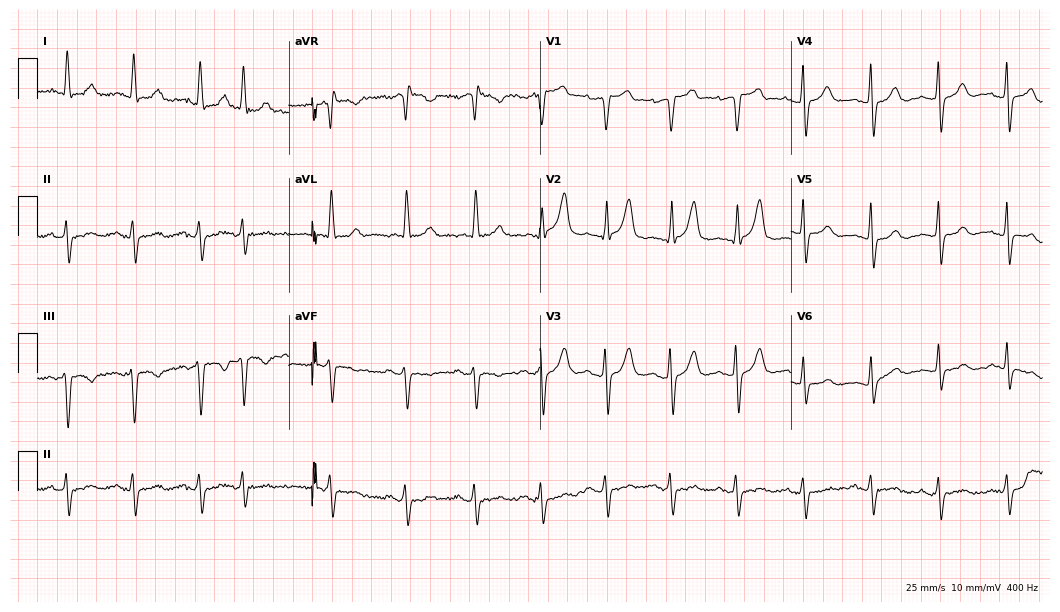
Electrocardiogram (10.2-second recording at 400 Hz), a male patient, 85 years old. Of the six screened findings (first-degree AV block, right bundle branch block (RBBB), left bundle branch block (LBBB), sinus bradycardia, atrial fibrillation (AF), sinus tachycardia), none is recorded. Other findings, if any, are not listed.